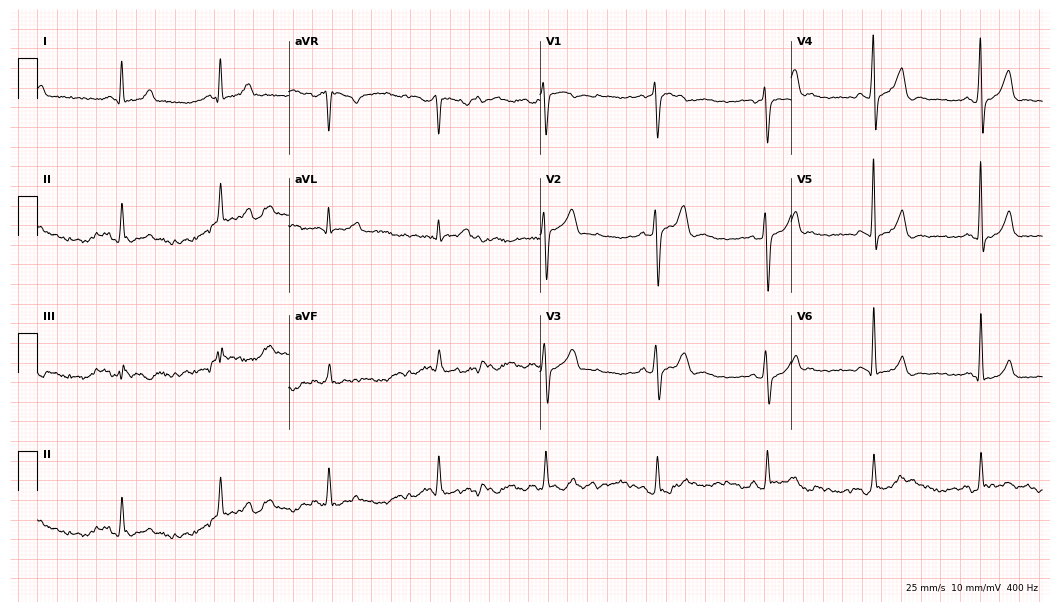
12-lead ECG from a male patient, 34 years old (10.2-second recording at 400 Hz). No first-degree AV block, right bundle branch block, left bundle branch block, sinus bradycardia, atrial fibrillation or sinus tachycardia recorded for this tracing.